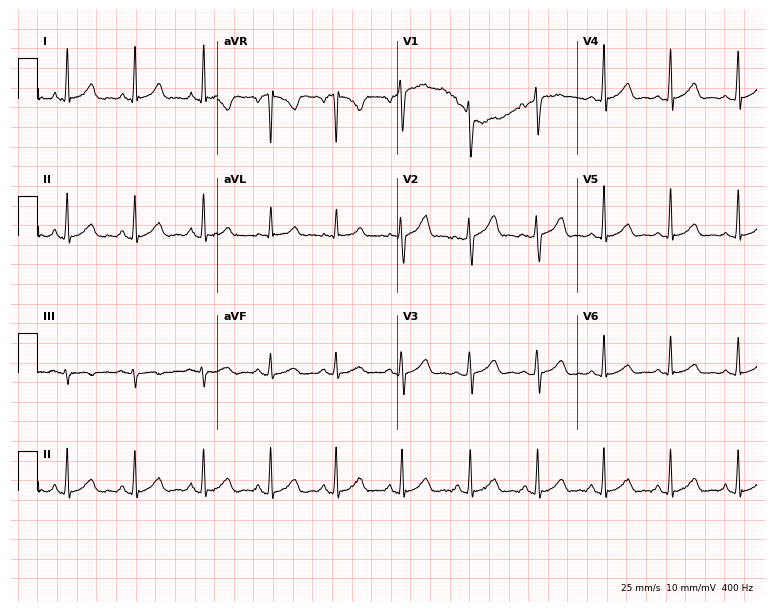
12-lead ECG from a woman, 56 years old. Recorded interpretation: within normal limits.